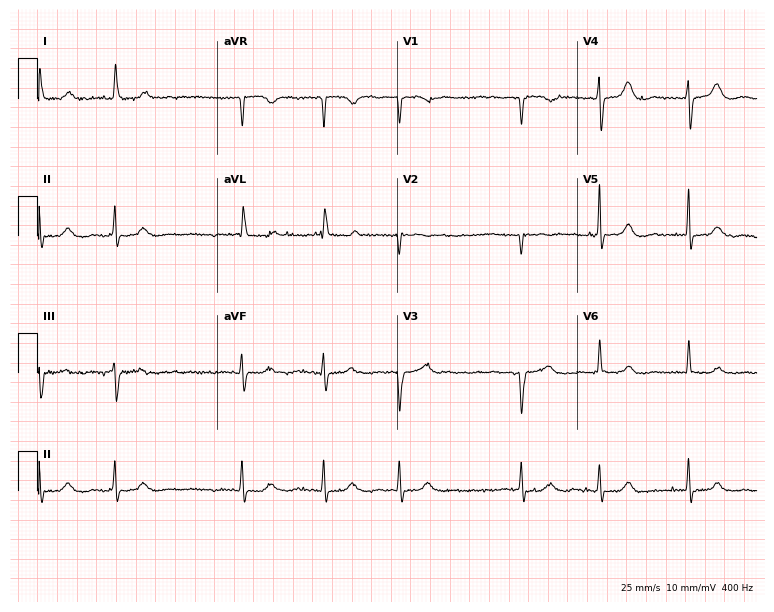
ECG (7.3-second recording at 400 Hz) — a woman, 78 years old. Findings include atrial fibrillation (AF).